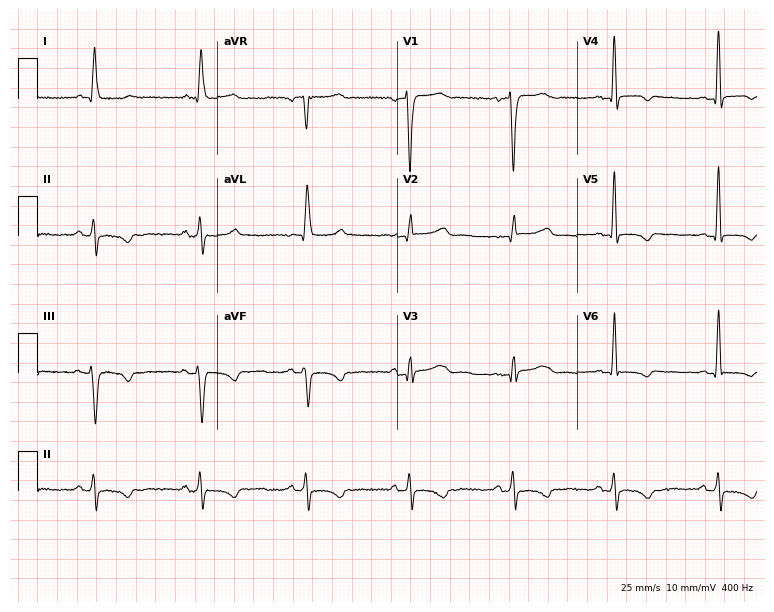
12-lead ECG from a 67-year-old female patient. Screened for six findings — first-degree AV block, right bundle branch block, left bundle branch block, sinus bradycardia, atrial fibrillation, sinus tachycardia — none is recorded. Only these six findings were labelled.